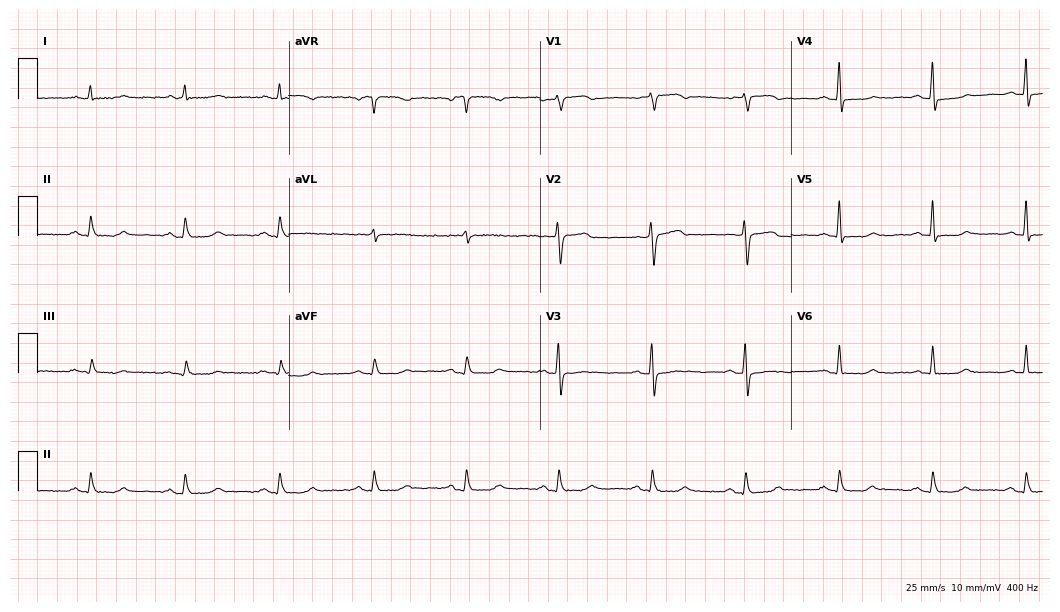
Electrocardiogram (10.2-second recording at 400 Hz), a 63-year-old female patient. Of the six screened findings (first-degree AV block, right bundle branch block, left bundle branch block, sinus bradycardia, atrial fibrillation, sinus tachycardia), none is recorded.